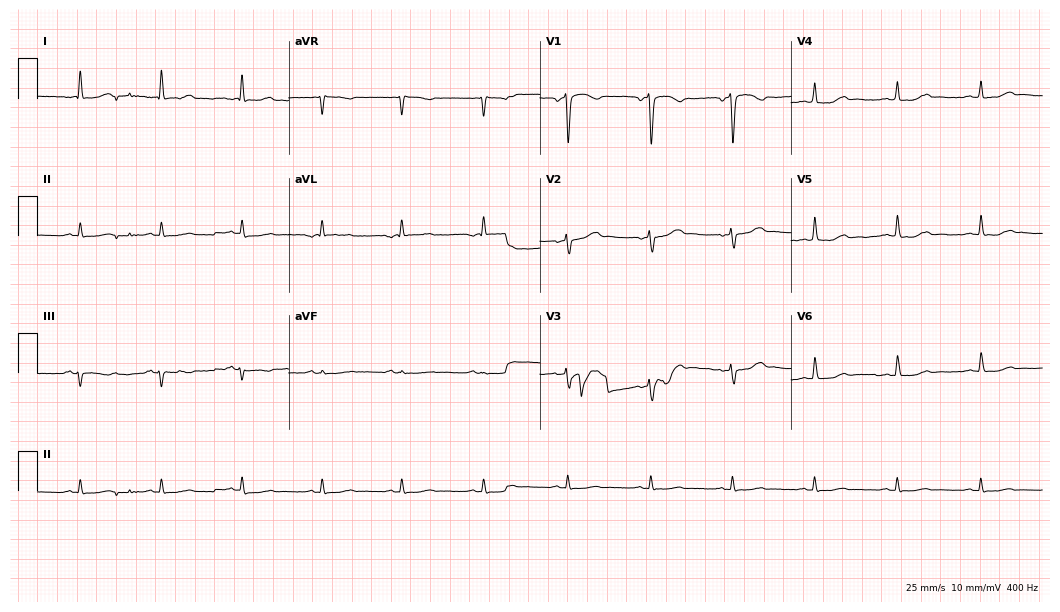
Electrocardiogram (10.2-second recording at 400 Hz), a female, 51 years old. Of the six screened findings (first-degree AV block, right bundle branch block (RBBB), left bundle branch block (LBBB), sinus bradycardia, atrial fibrillation (AF), sinus tachycardia), none is recorded.